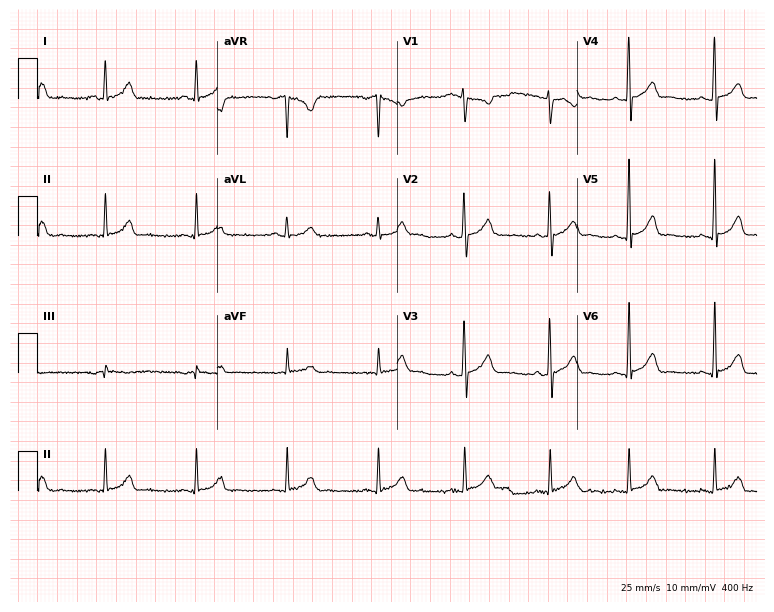
12-lead ECG from a 38-year-old male patient (7.3-second recording at 400 Hz). No first-degree AV block, right bundle branch block, left bundle branch block, sinus bradycardia, atrial fibrillation or sinus tachycardia recorded for this tracing.